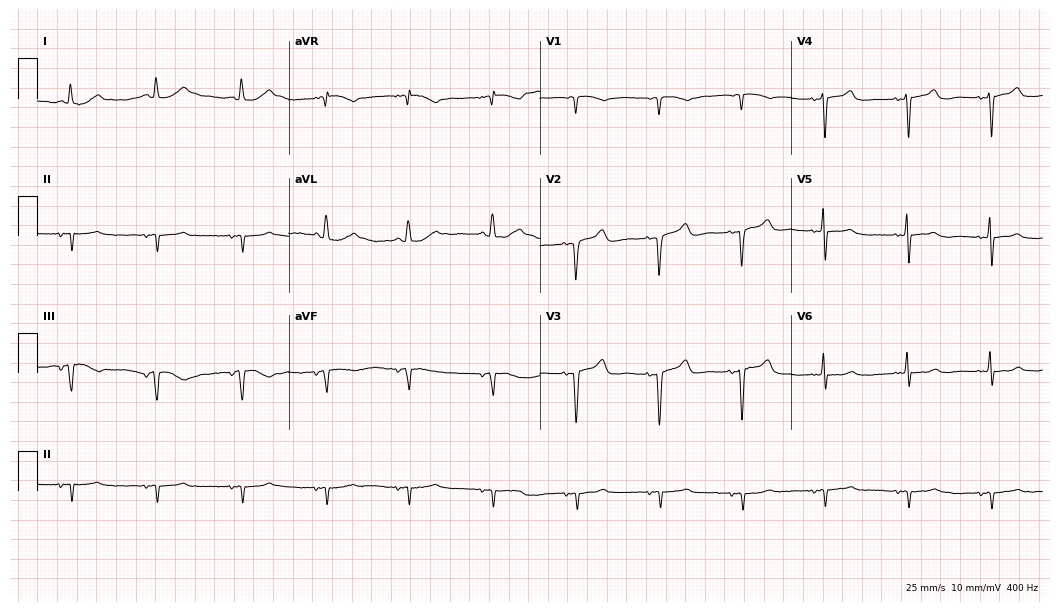
ECG — a woman, 79 years old. Screened for six findings — first-degree AV block, right bundle branch block, left bundle branch block, sinus bradycardia, atrial fibrillation, sinus tachycardia — none is recorded. Only these six findings were labelled.